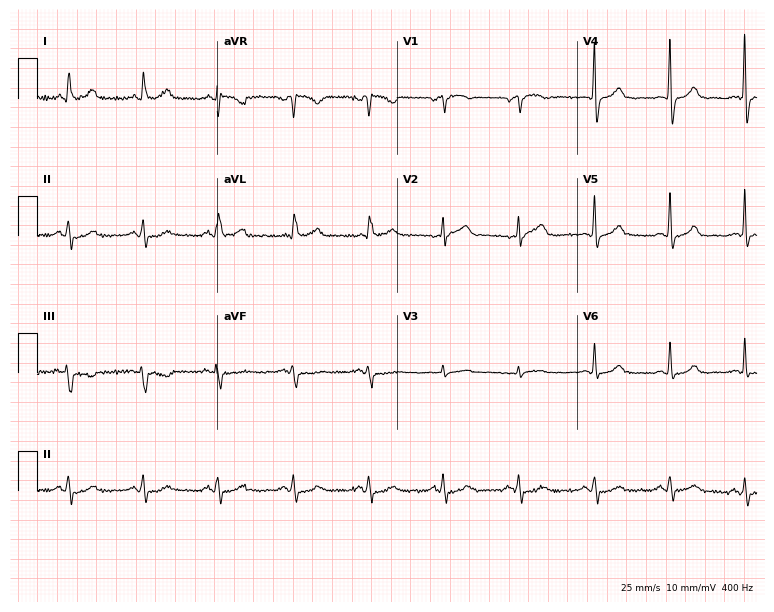
Electrocardiogram (7.3-second recording at 400 Hz), a female patient, 60 years old. Overall reading on record: normal ECG.